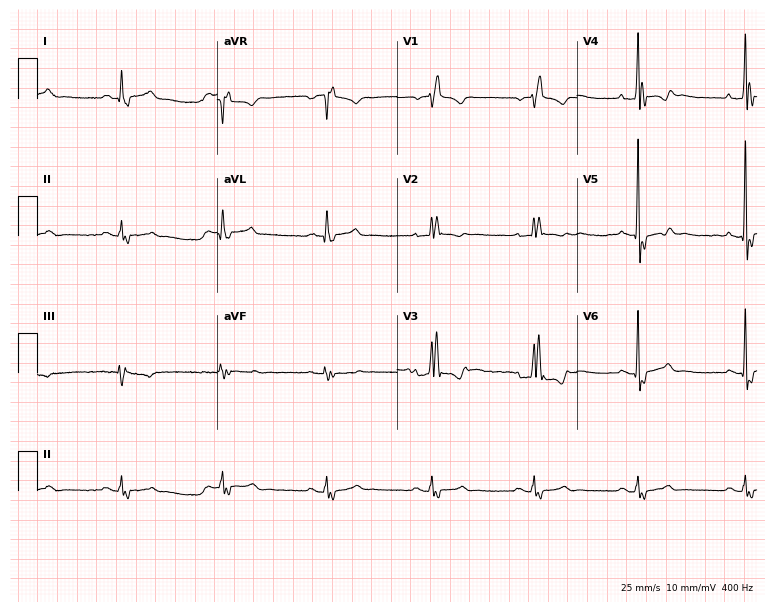
Standard 12-lead ECG recorded from a 57-year-old male patient (7.3-second recording at 400 Hz). The tracing shows right bundle branch block.